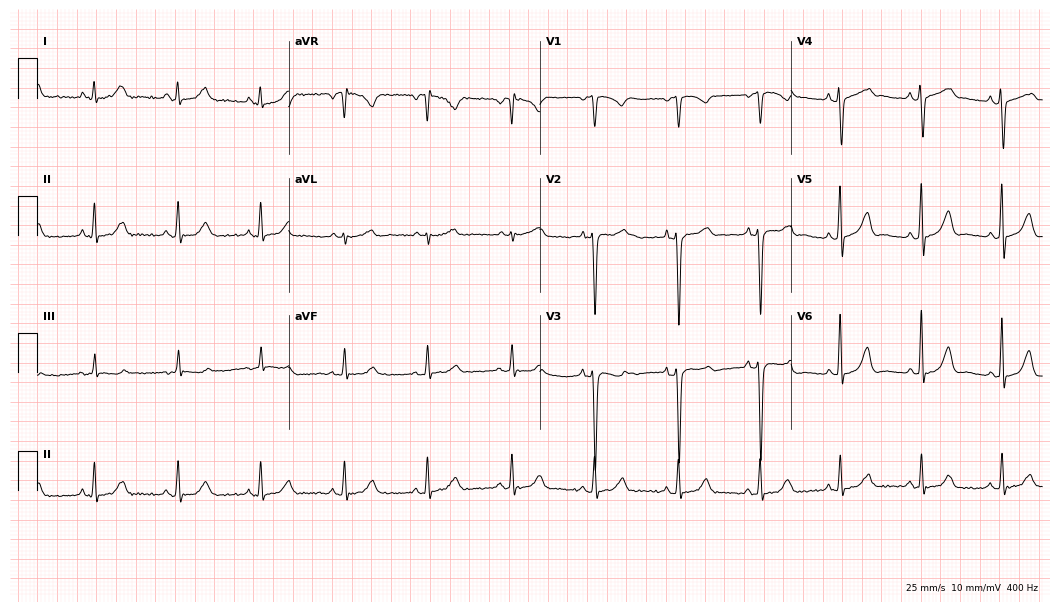
12-lead ECG from a male, 46 years old. Labelled as a normal ECG.